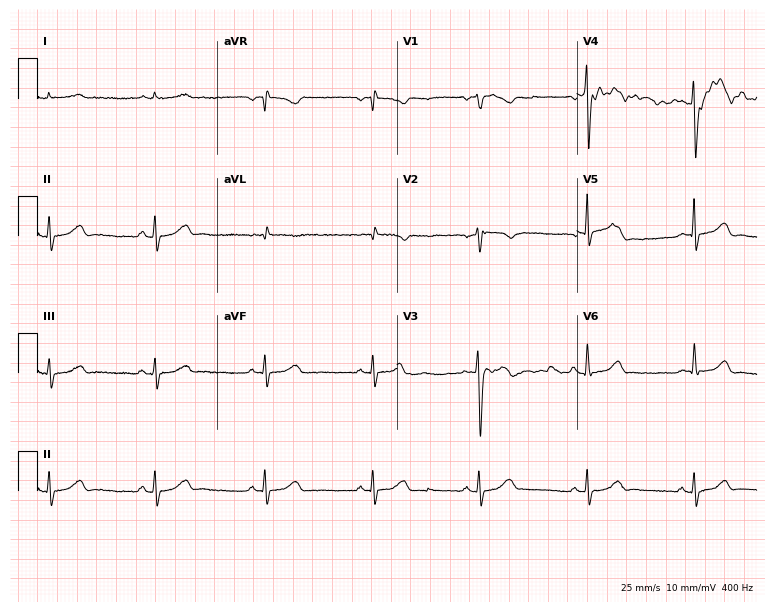
12-lead ECG from a 46-year-old man (7.3-second recording at 400 Hz). No first-degree AV block, right bundle branch block, left bundle branch block, sinus bradycardia, atrial fibrillation or sinus tachycardia recorded for this tracing. Other findings, if any, are not listed.